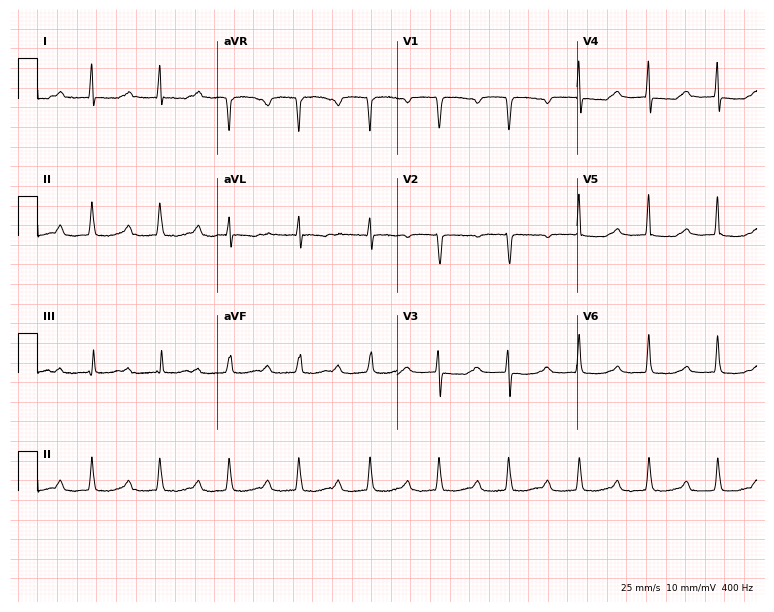
ECG (7.3-second recording at 400 Hz) — a woman, 68 years old. Screened for six findings — first-degree AV block, right bundle branch block, left bundle branch block, sinus bradycardia, atrial fibrillation, sinus tachycardia — none is recorded. Only these six findings were labelled.